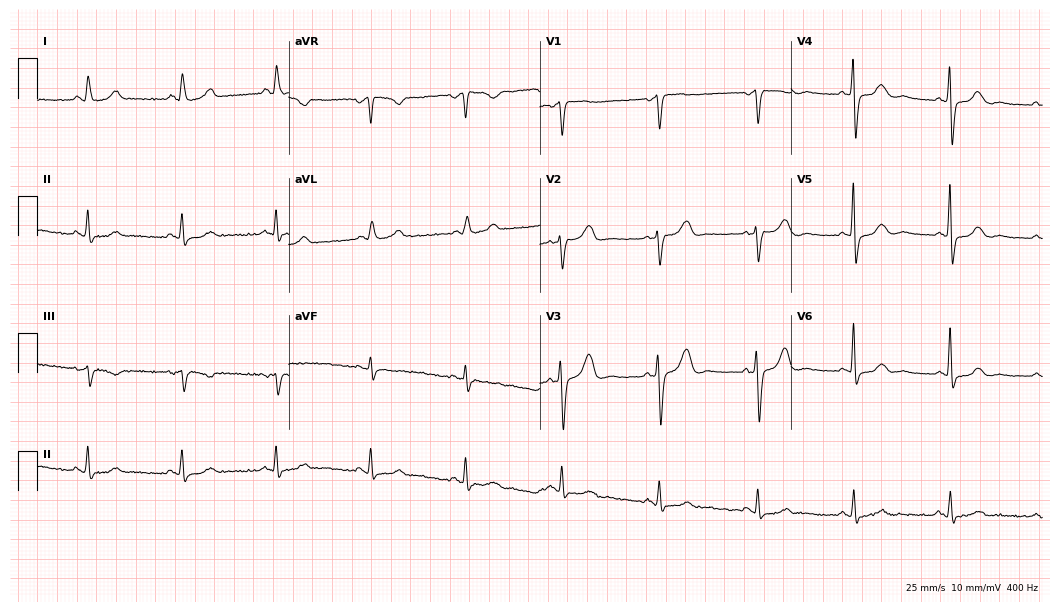
12-lead ECG from a man, 68 years old (10.2-second recording at 400 Hz). No first-degree AV block, right bundle branch block (RBBB), left bundle branch block (LBBB), sinus bradycardia, atrial fibrillation (AF) or sinus tachycardia recorded for this tracing.